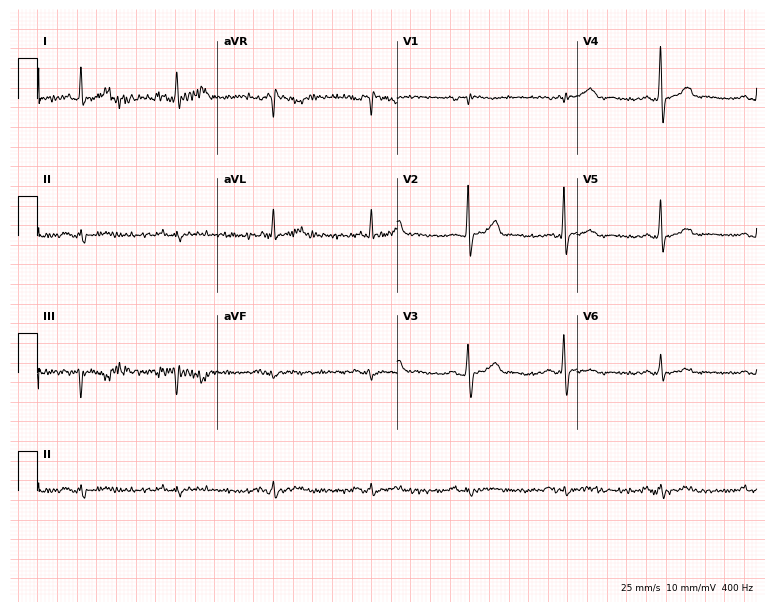
ECG — a 70-year-old male patient. Screened for six findings — first-degree AV block, right bundle branch block, left bundle branch block, sinus bradycardia, atrial fibrillation, sinus tachycardia — none is recorded.